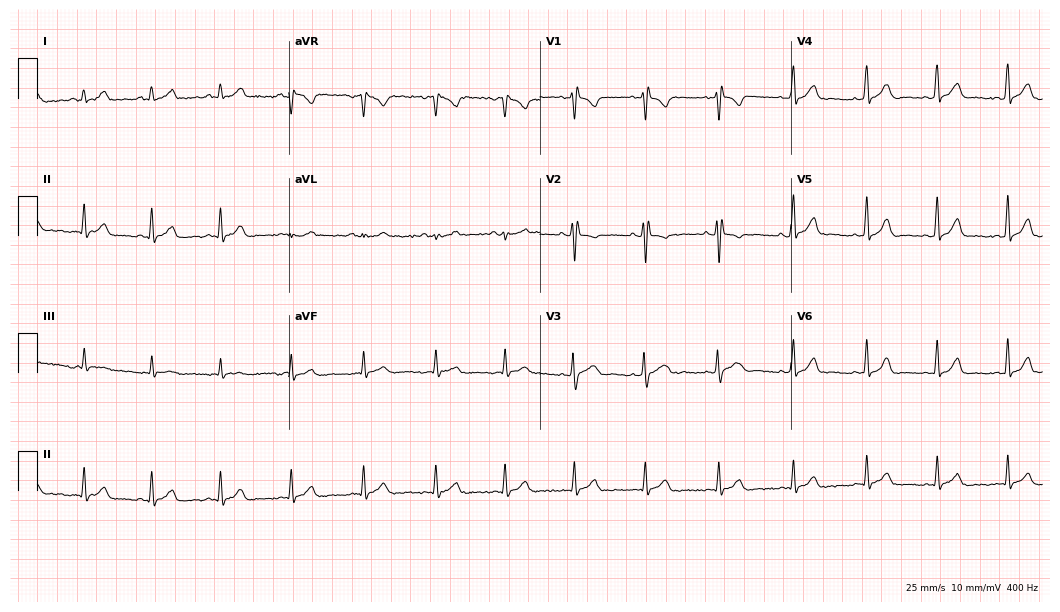
ECG (10.2-second recording at 400 Hz) — a 20-year-old female patient. Screened for six findings — first-degree AV block, right bundle branch block, left bundle branch block, sinus bradycardia, atrial fibrillation, sinus tachycardia — none is recorded. Only these six findings were labelled.